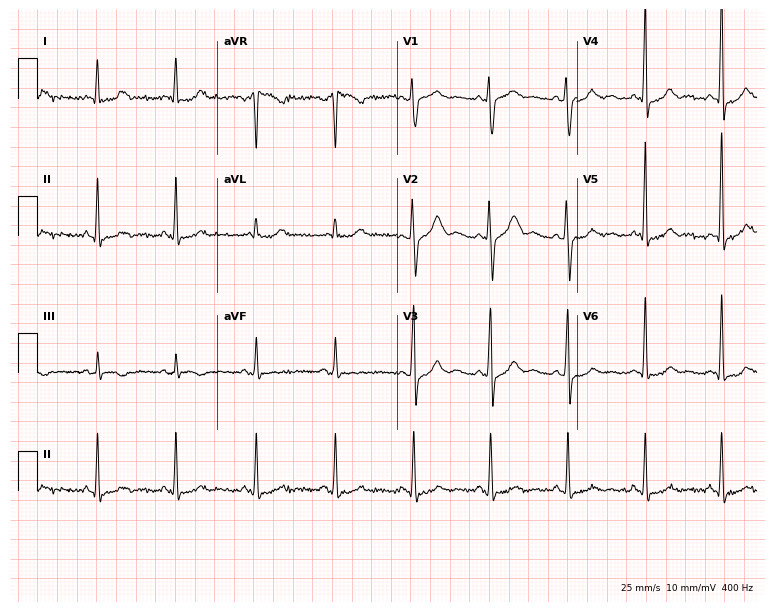
Electrocardiogram (7.3-second recording at 400 Hz), a woman, 63 years old. Overall reading on record: normal ECG.